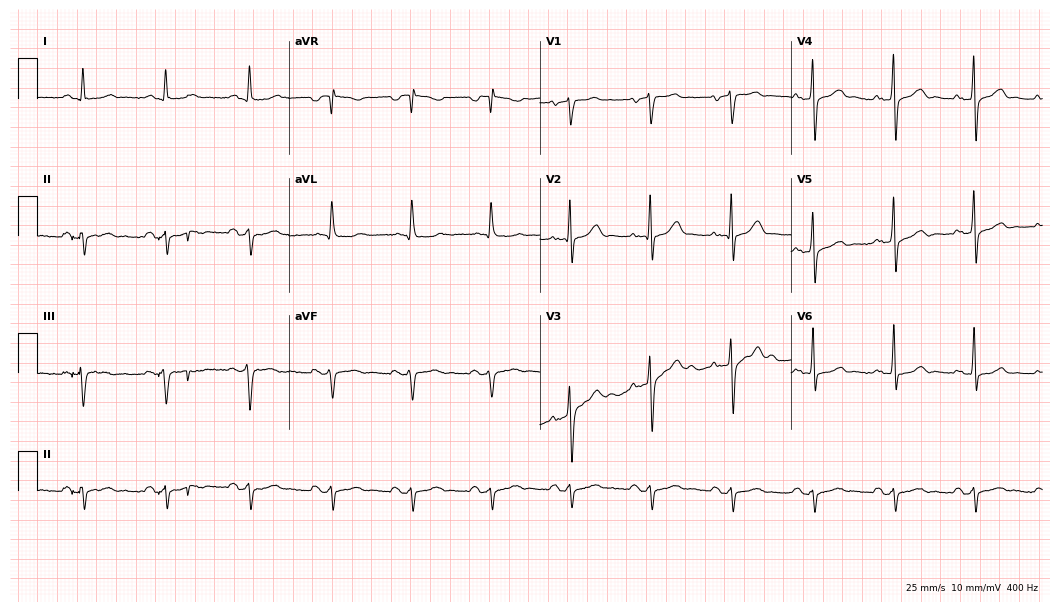
ECG — a male patient, 57 years old. Screened for six findings — first-degree AV block, right bundle branch block, left bundle branch block, sinus bradycardia, atrial fibrillation, sinus tachycardia — none is recorded. Only these six findings were labelled.